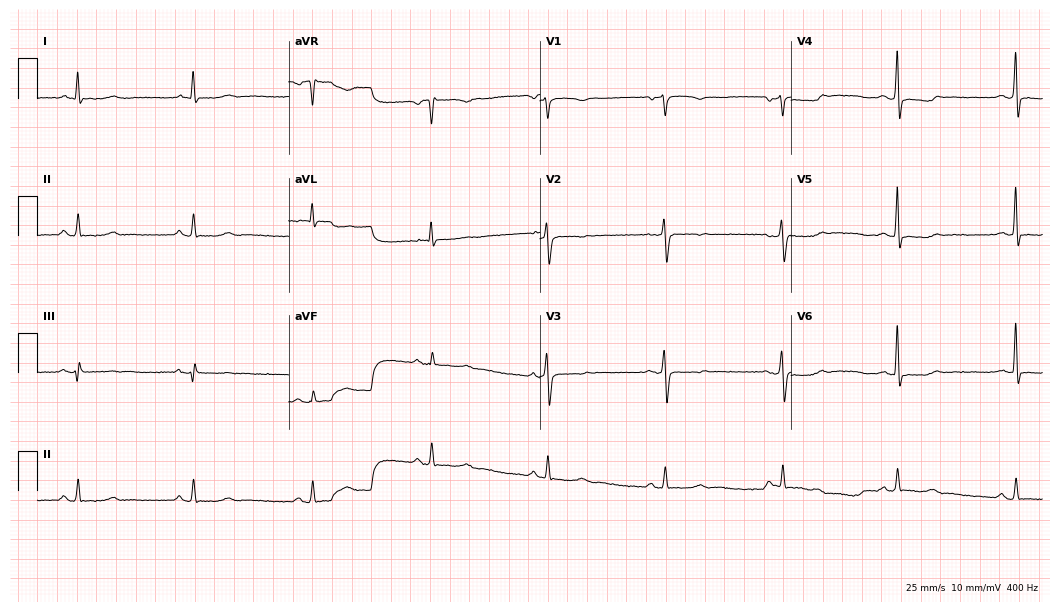
ECG — a 64-year-old female. Screened for six findings — first-degree AV block, right bundle branch block, left bundle branch block, sinus bradycardia, atrial fibrillation, sinus tachycardia — none is recorded. Only these six findings were labelled.